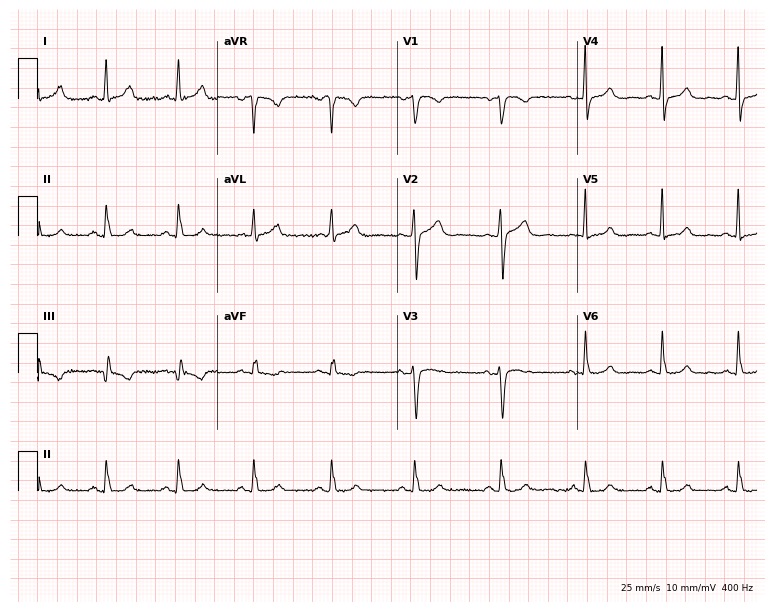
Standard 12-lead ECG recorded from a 54-year-old female. Read as a normal ECG.